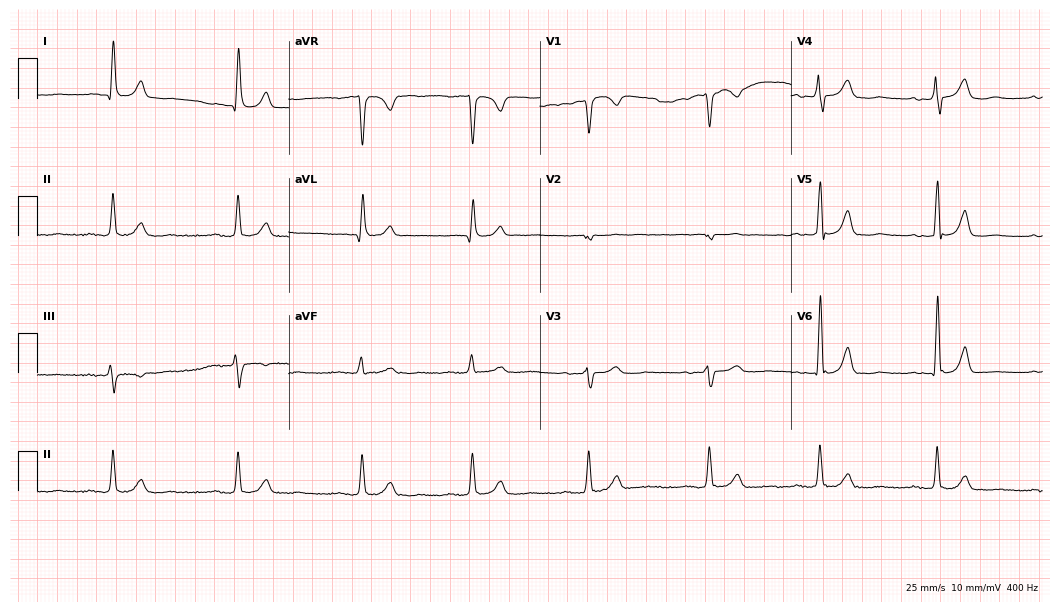
12-lead ECG from a 78-year-old woman. Findings include first-degree AV block.